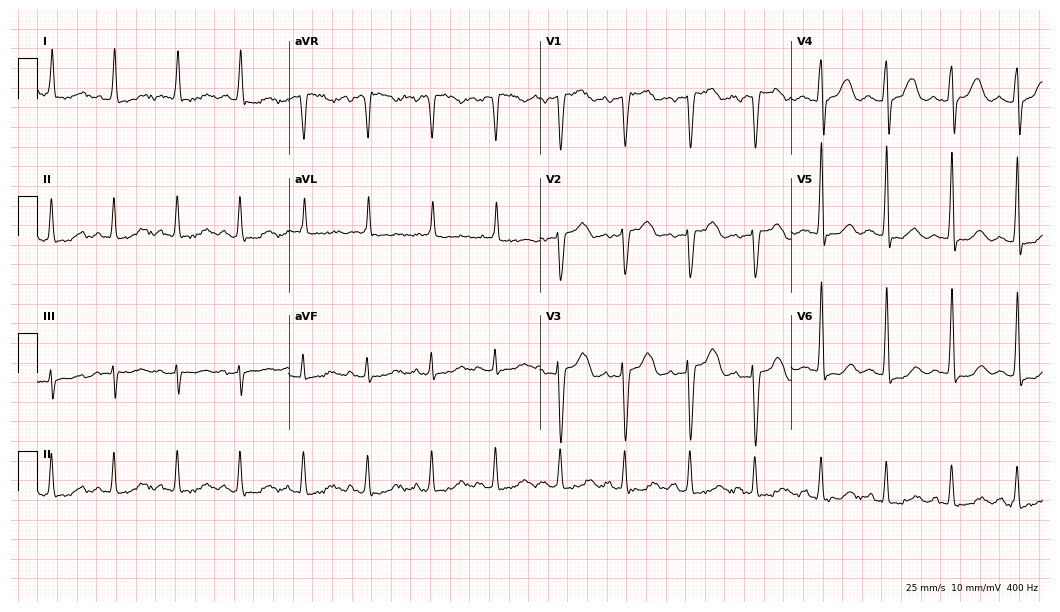
12-lead ECG from a woman, 66 years old. No first-degree AV block, right bundle branch block, left bundle branch block, sinus bradycardia, atrial fibrillation or sinus tachycardia recorded for this tracing. Only these six findings were labelled.